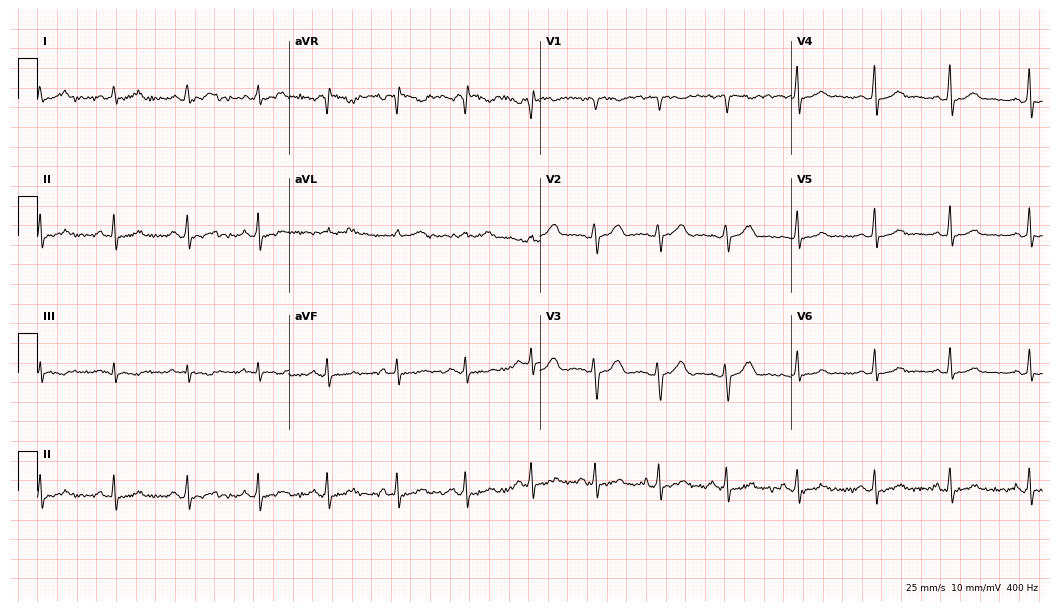
Electrocardiogram (10.2-second recording at 400 Hz), a female, 34 years old. Overall reading on record: normal ECG.